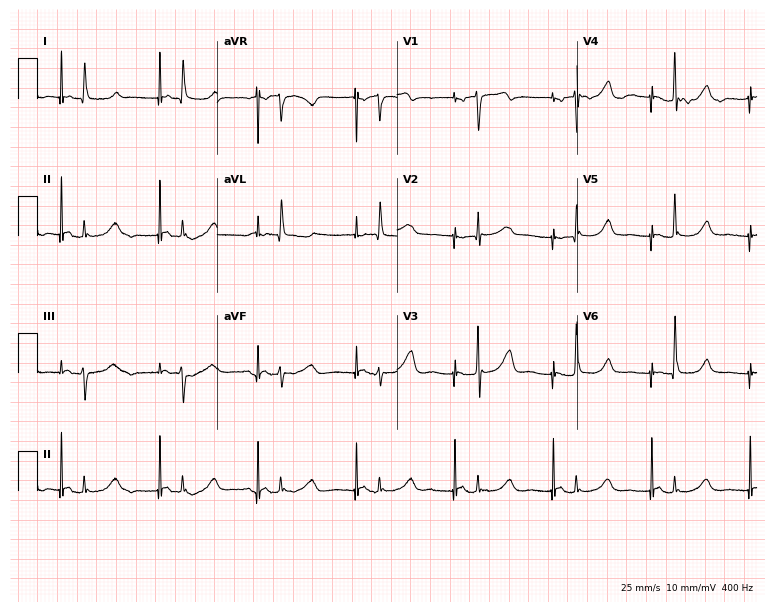
Standard 12-lead ECG recorded from a 56-year-old male patient. None of these six findings is recorded: first-degree AV block, right bundle branch block, left bundle branch block, sinus bradycardia, atrial fibrillation, sinus tachycardia. Only these six findings were labelled.